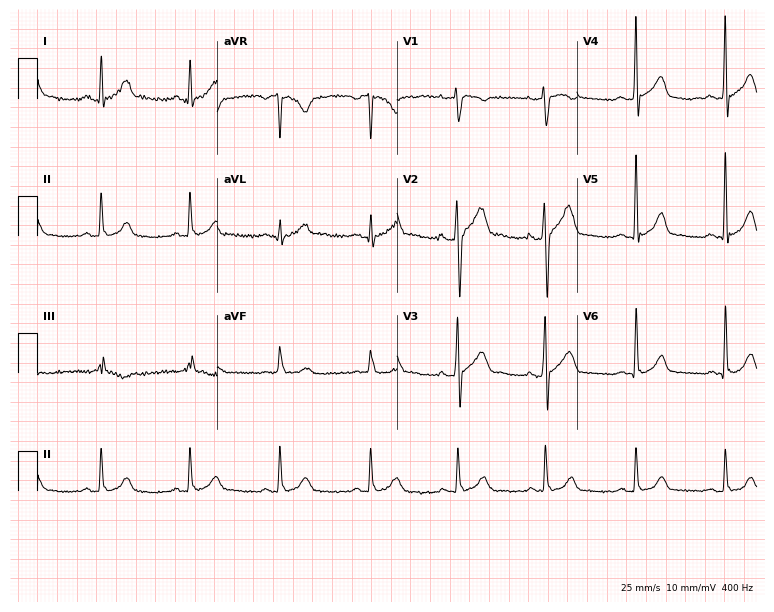
Resting 12-lead electrocardiogram. Patient: a male, 29 years old. Read as a normal ECG.